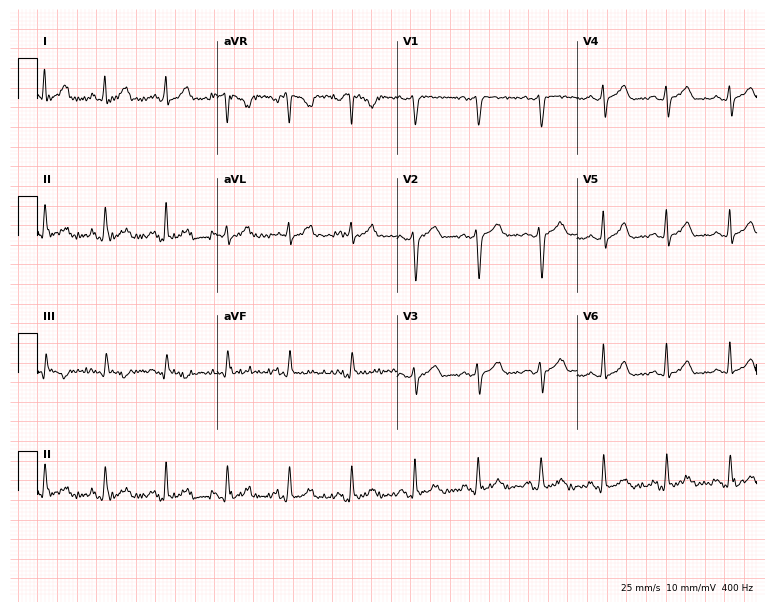
Standard 12-lead ECG recorded from a female, 31 years old (7.3-second recording at 400 Hz). None of these six findings is recorded: first-degree AV block, right bundle branch block (RBBB), left bundle branch block (LBBB), sinus bradycardia, atrial fibrillation (AF), sinus tachycardia.